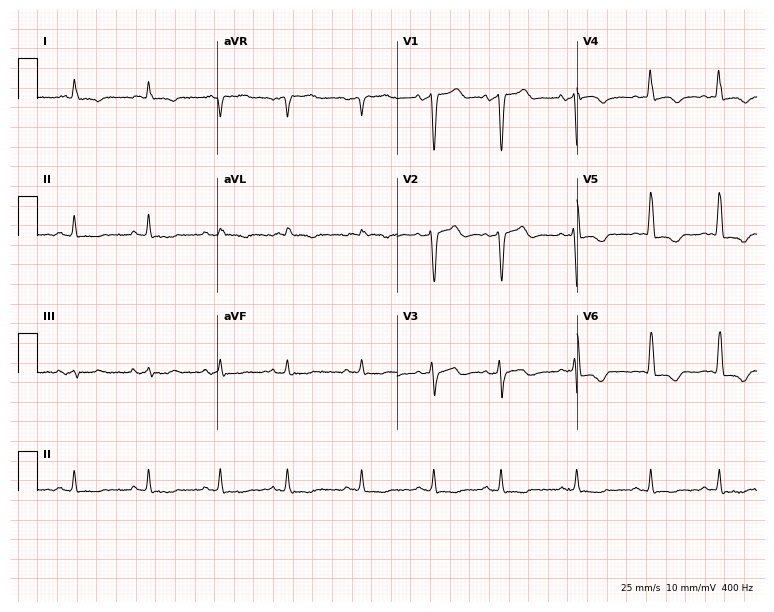
Resting 12-lead electrocardiogram. Patient: a male, 84 years old. None of these six findings is recorded: first-degree AV block, right bundle branch block, left bundle branch block, sinus bradycardia, atrial fibrillation, sinus tachycardia.